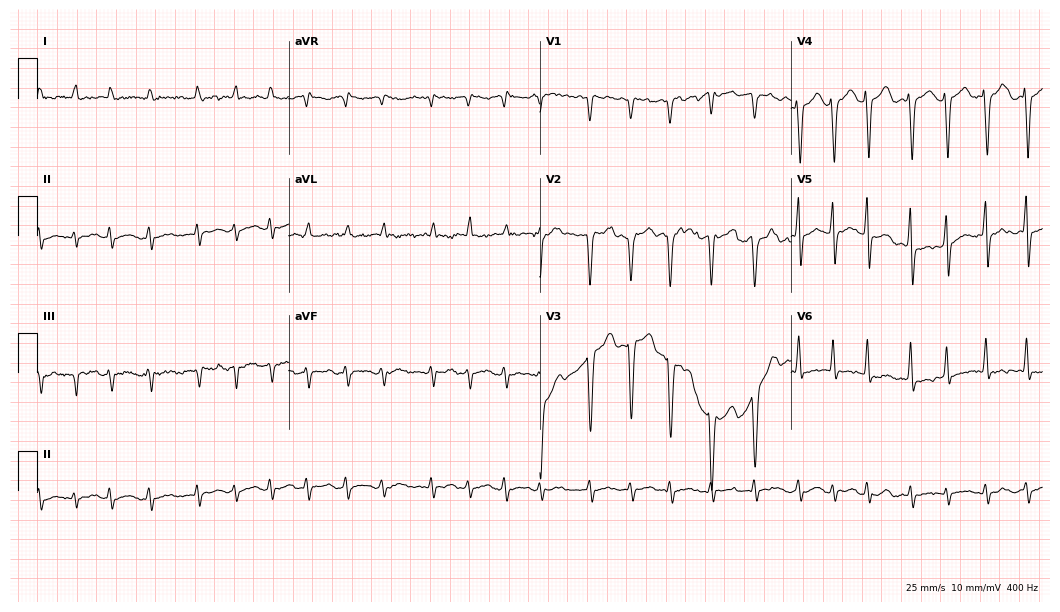
ECG — a male, 50 years old. Findings include atrial fibrillation.